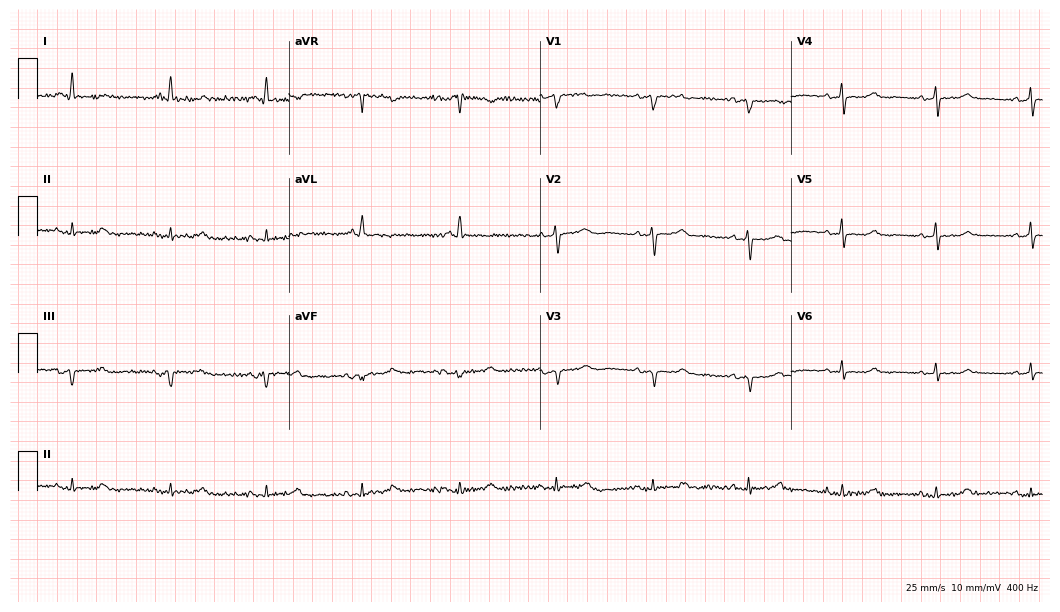
ECG — a 72-year-old female patient. Screened for six findings — first-degree AV block, right bundle branch block, left bundle branch block, sinus bradycardia, atrial fibrillation, sinus tachycardia — none is recorded. Only these six findings were labelled.